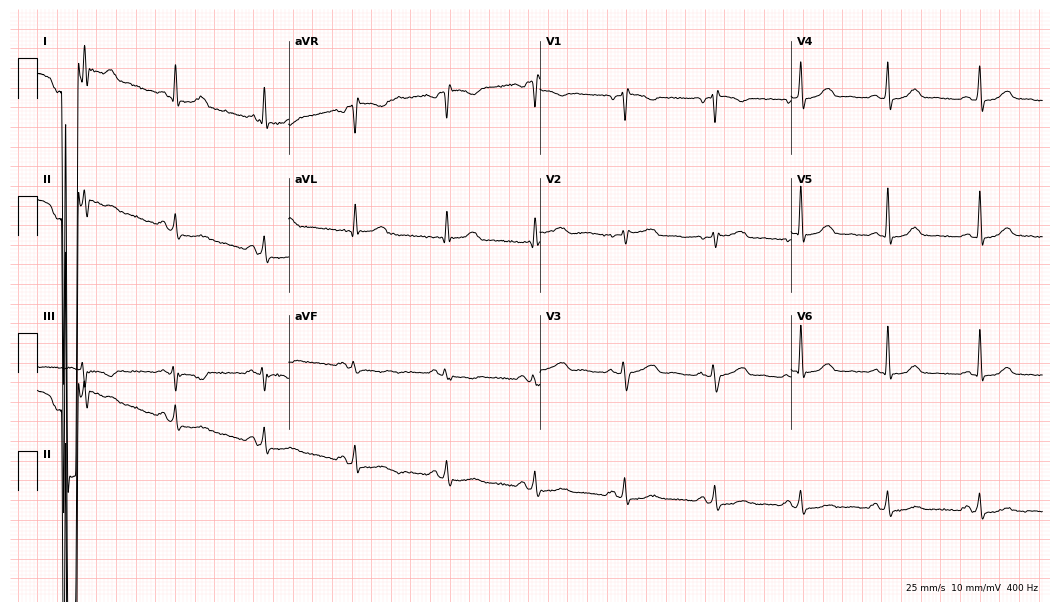
Resting 12-lead electrocardiogram (10.2-second recording at 400 Hz). Patient: a 38-year-old woman. None of these six findings is recorded: first-degree AV block, right bundle branch block, left bundle branch block, sinus bradycardia, atrial fibrillation, sinus tachycardia. Only these six findings were labelled.